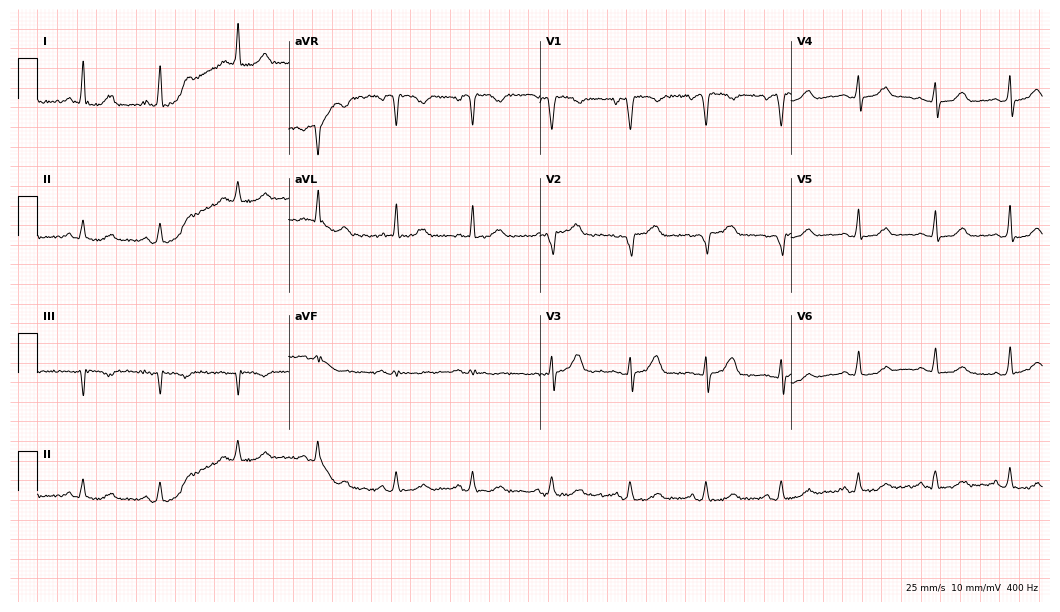
ECG (10.2-second recording at 400 Hz) — a female, 62 years old. Screened for six findings — first-degree AV block, right bundle branch block, left bundle branch block, sinus bradycardia, atrial fibrillation, sinus tachycardia — none is recorded. Only these six findings were labelled.